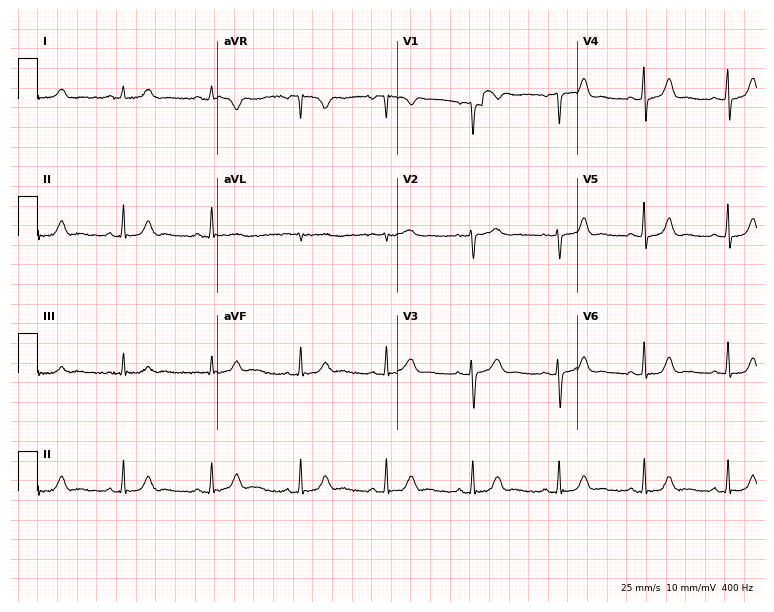
Standard 12-lead ECG recorded from a 43-year-old woman (7.3-second recording at 400 Hz). Read as a normal ECG.